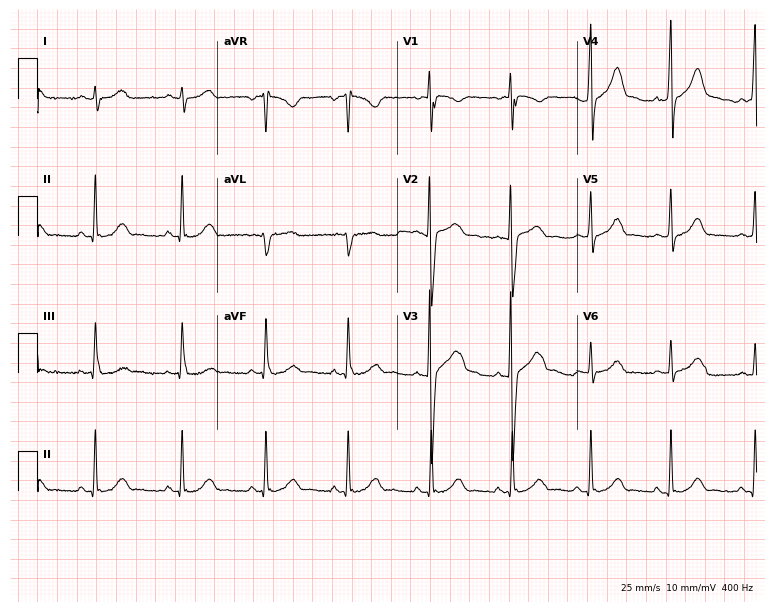
Standard 12-lead ECG recorded from a 22-year-old female (7.3-second recording at 400 Hz). None of these six findings is recorded: first-degree AV block, right bundle branch block, left bundle branch block, sinus bradycardia, atrial fibrillation, sinus tachycardia. Findings outside these six are not listed.